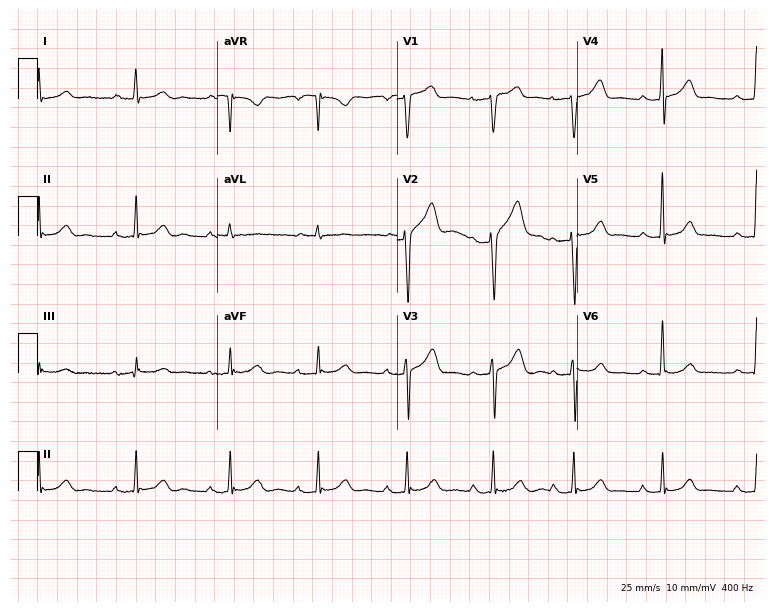
12-lead ECG from a 60-year-old man. Shows first-degree AV block.